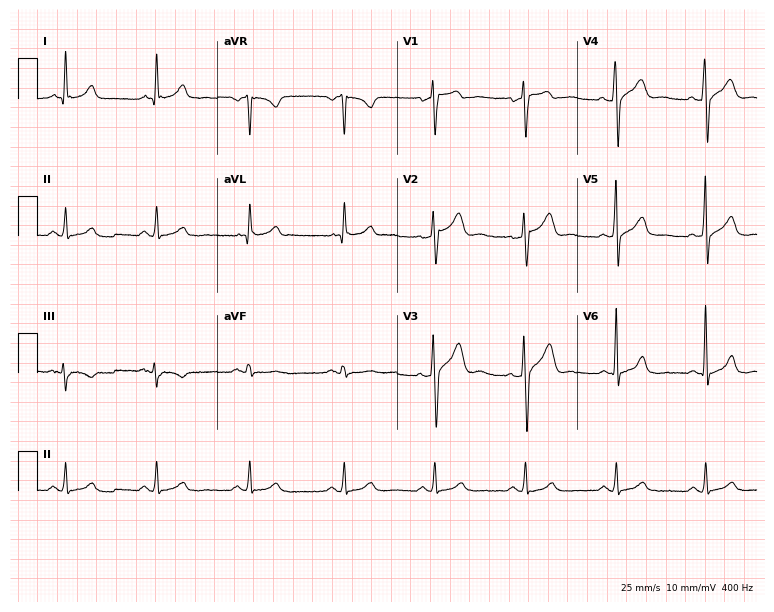
12-lead ECG from a male, 43 years old. Recorded interpretation: within normal limits.